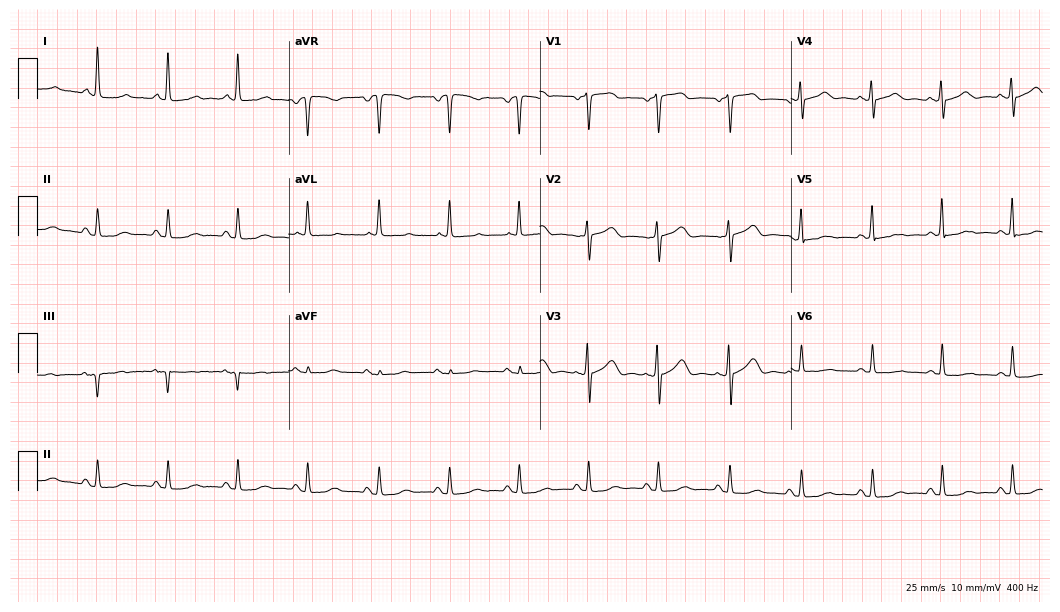
Resting 12-lead electrocardiogram (10.2-second recording at 400 Hz). Patient: a 78-year-old female. Read as a normal ECG.